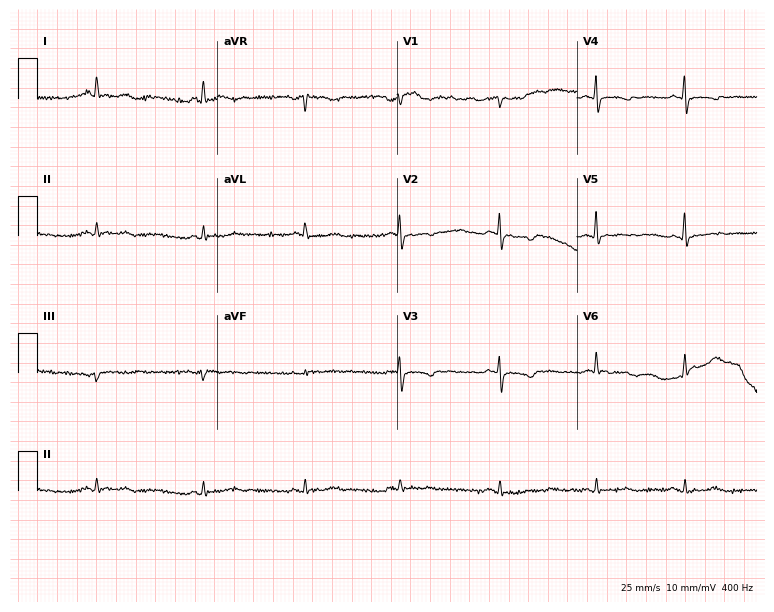
12-lead ECG from a woman, 53 years old (7.3-second recording at 400 Hz). No first-degree AV block, right bundle branch block, left bundle branch block, sinus bradycardia, atrial fibrillation or sinus tachycardia recorded for this tracing.